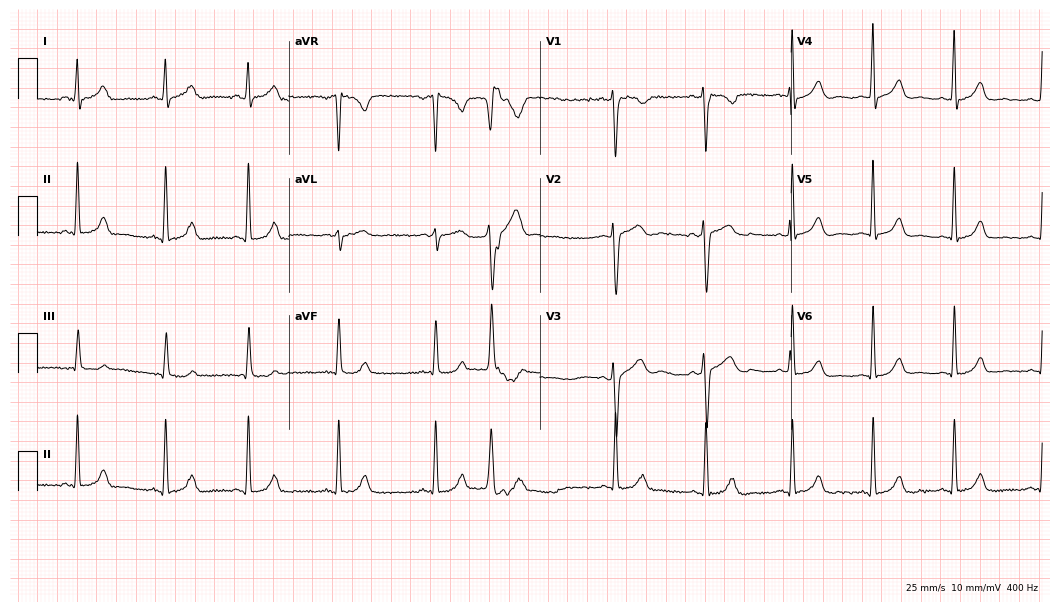
Resting 12-lead electrocardiogram. Patient: a woman, 28 years old. None of these six findings is recorded: first-degree AV block, right bundle branch block, left bundle branch block, sinus bradycardia, atrial fibrillation, sinus tachycardia.